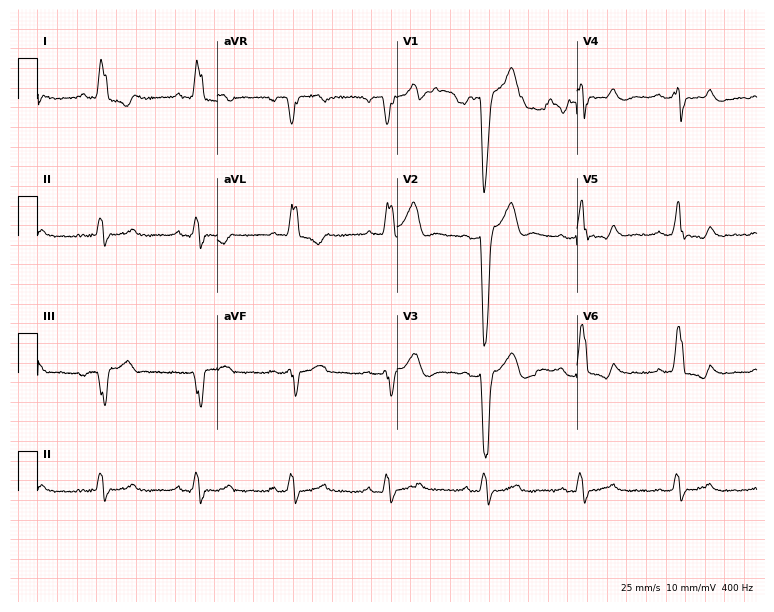
12-lead ECG from a male patient, 59 years old. Shows left bundle branch block.